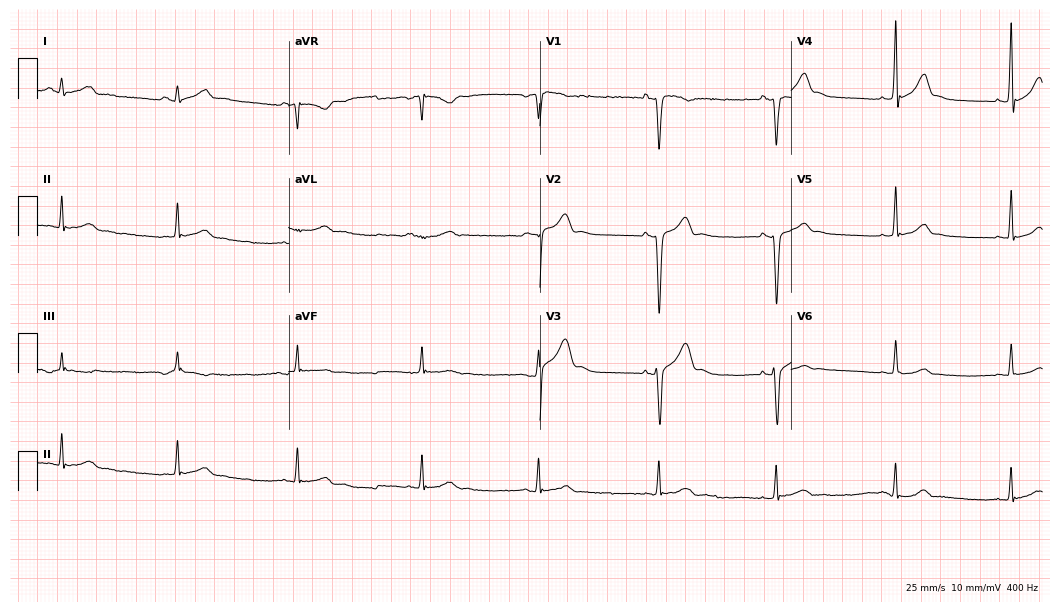
ECG (10.2-second recording at 400 Hz) — a male patient, 29 years old. Findings include sinus bradycardia (a sinus rate of 50 beats per minute or less).